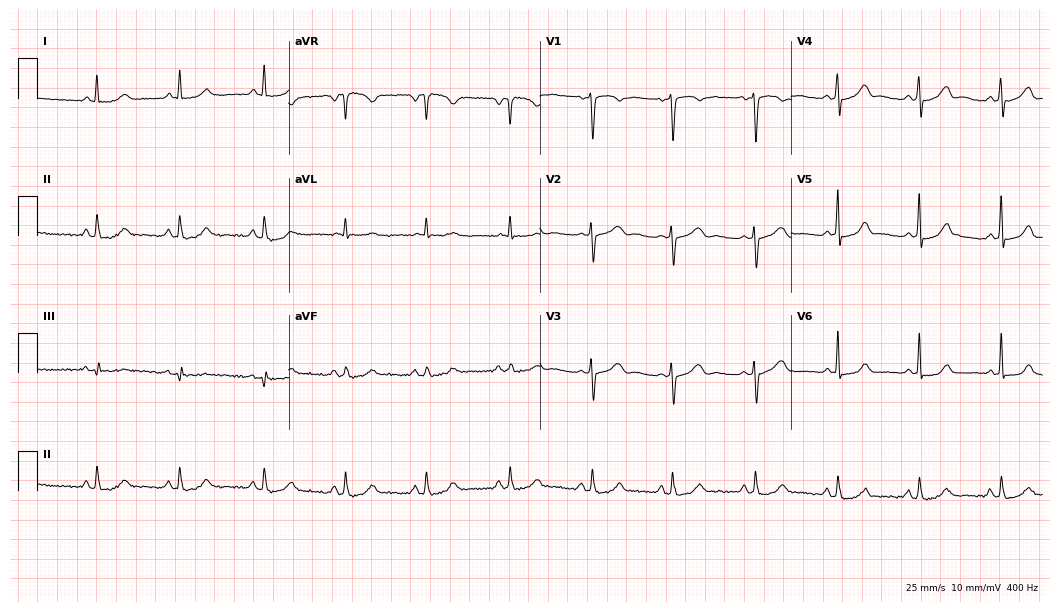
Standard 12-lead ECG recorded from a 47-year-old female patient (10.2-second recording at 400 Hz). None of these six findings is recorded: first-degree AV block, right bundle branch block, left bundle branch block, sinus bradycardia, atrial fibrillation, sinus tachycardia. Other findings, if any, are not listed.